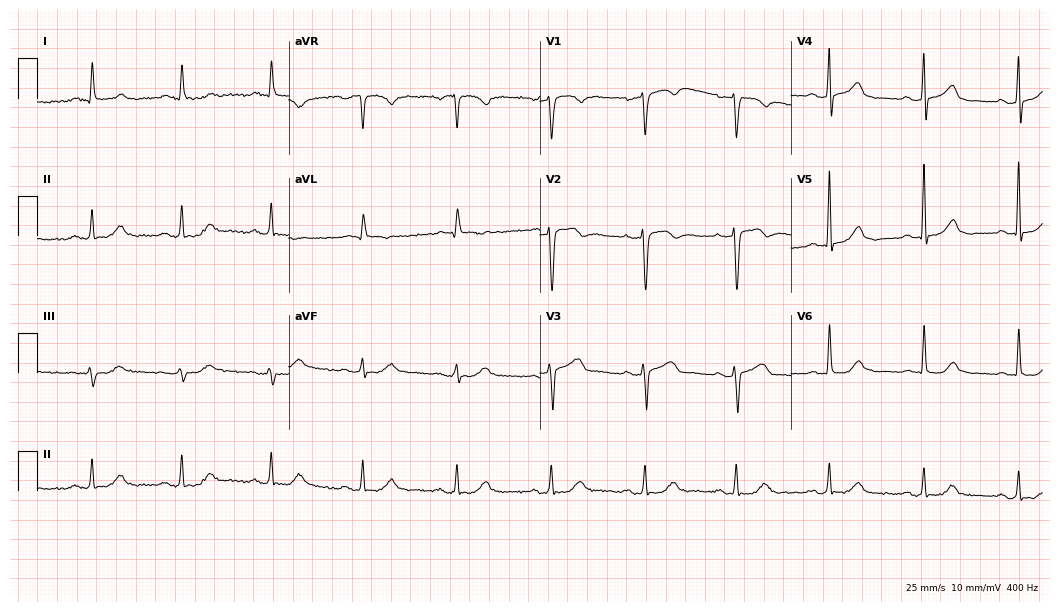
Resting 12-lead electrocardiogram. Patient: a man, 70 years old. Read as a normal ECG.